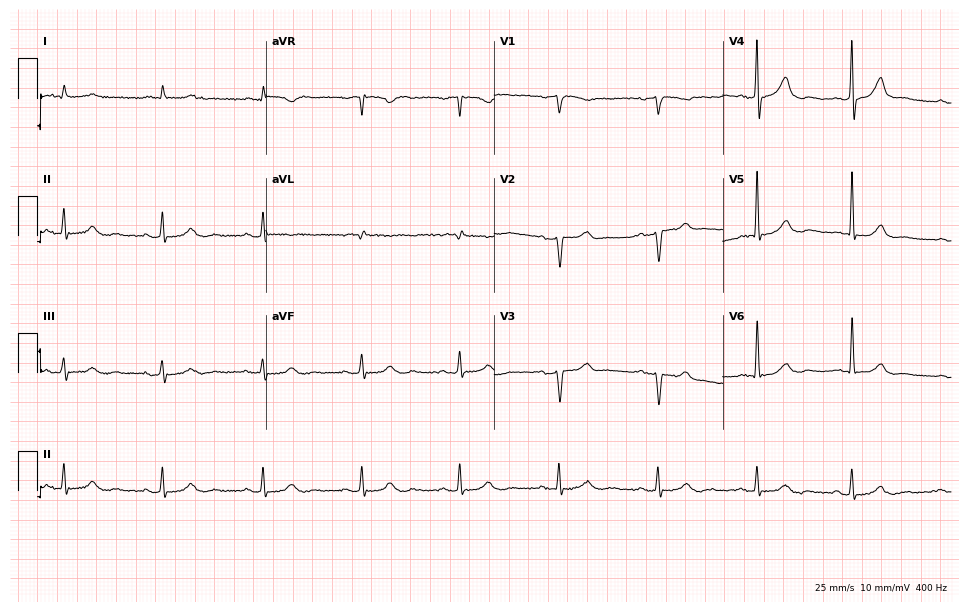
Standard 12-lead ECG recorded from an 80-year-old male patient. None of these six findings is recorded: first-degree AV block, right bundle branch block, left bundle branch block, sinus bradycardia, atrial fibrillation, sinus tachycardia.